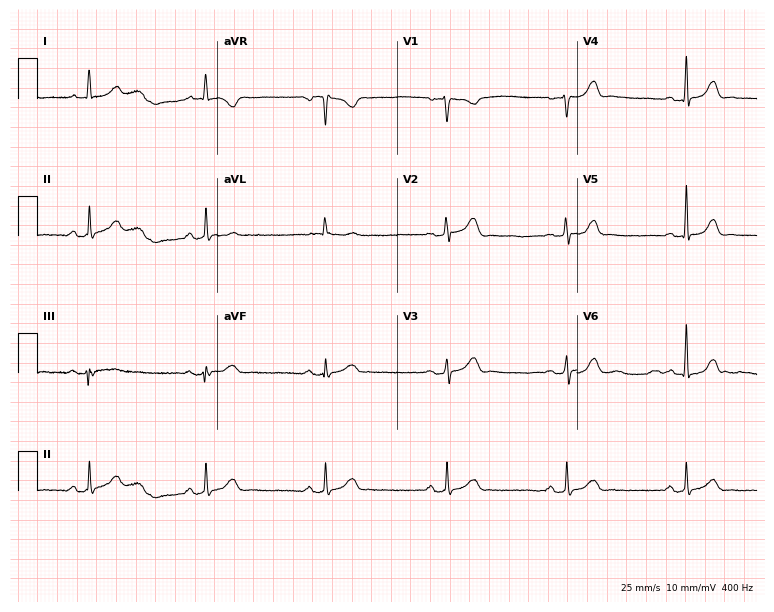
12-lead ECG from a 60-year-old female. Findings include sinus bradycardia (a sinus rate of 50 beats per minute or less).